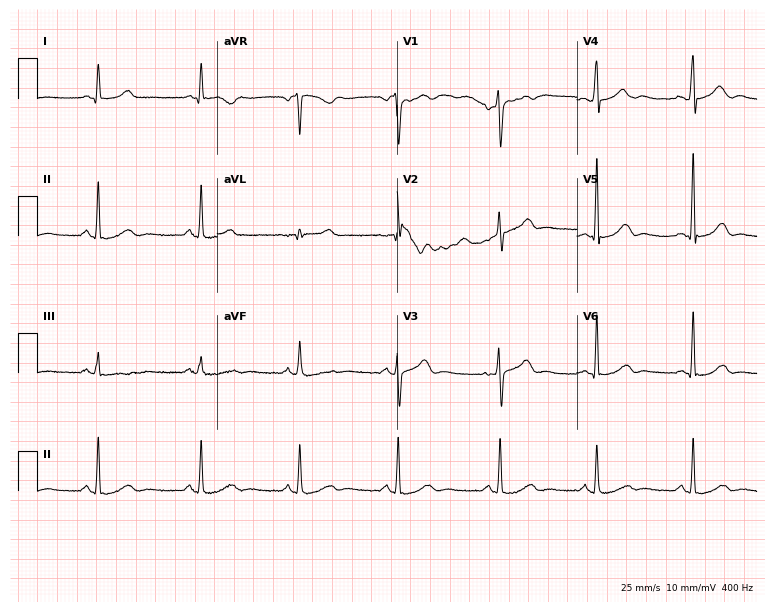
ECG (7.3-second recording at 400 Hz) — a 45-year-old female. Labelled as a normal ECG.